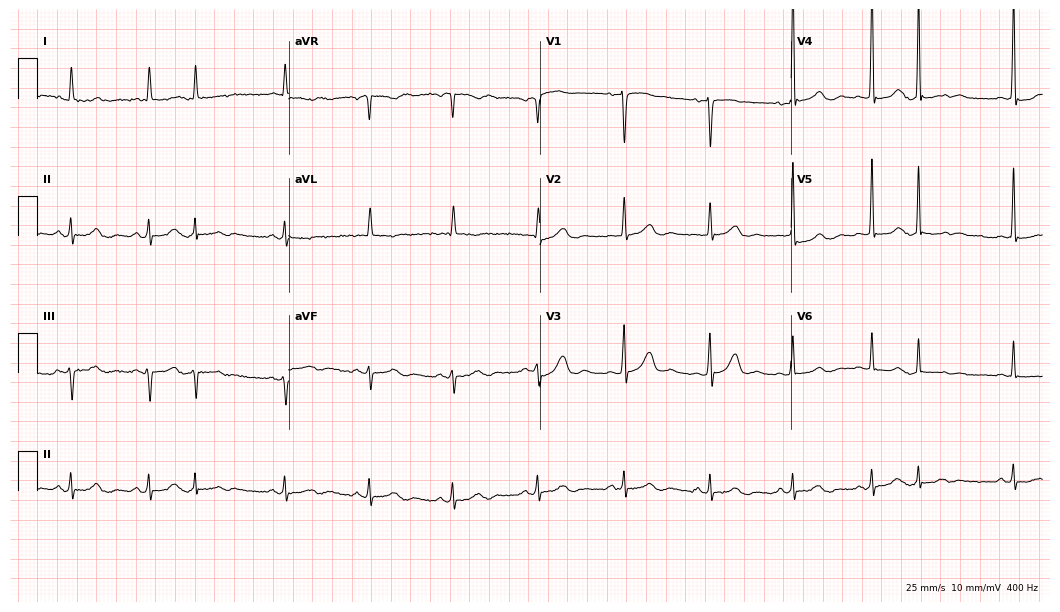
ECG (10.2-second recording at 400 Hz) — a 70-year-old woman. Screened for six findings — first-degree AV block, right bundle branch block (RBBB), left bundle branch block (LBBB), sinus bradycardia, atrial fibrillation (AF), sinus tachycardia — none is recorded. Only these six findings were labelled.